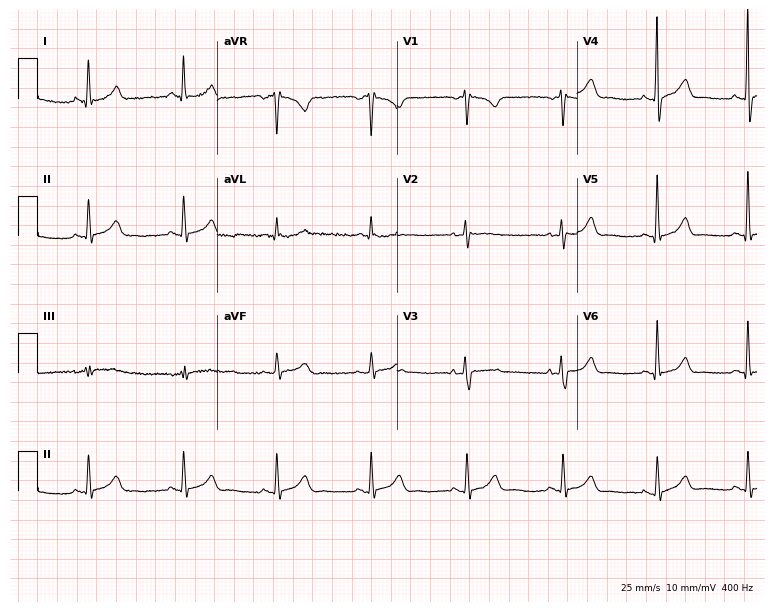
12-lead ECG from a female patient, 56 years old. Labelled as a normal ECG.